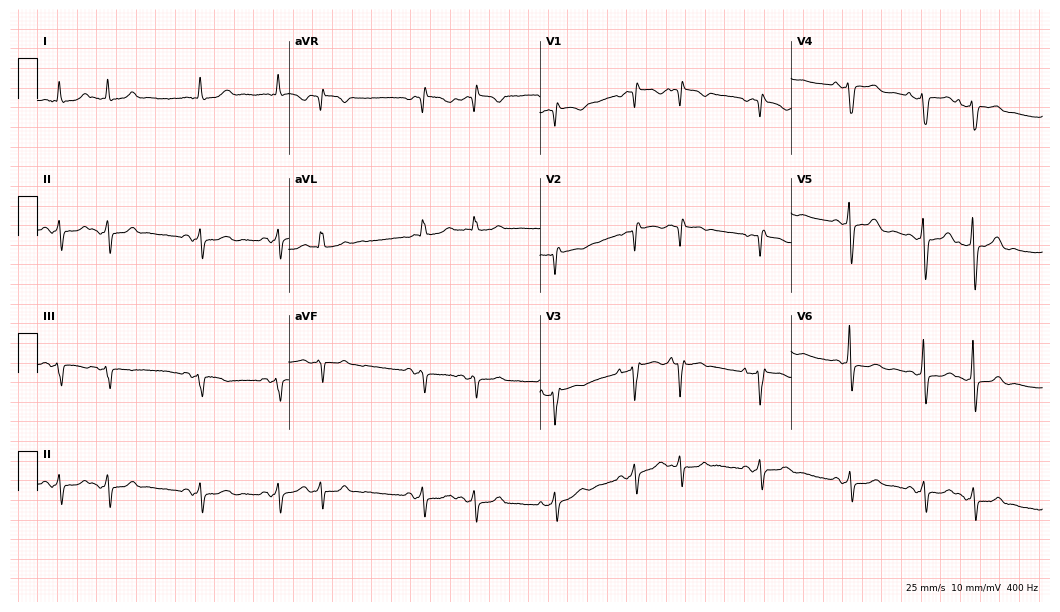
ECG — a 66-year-old female. Screened for six findings — first-degree AV block, right bundle branch block (RBBB), left bundle branch block (LBBB), sinus bradycardia, atrial fibrillation (AF), sinus tachycardia — none is recorded. Other findings, if any, are not listed.